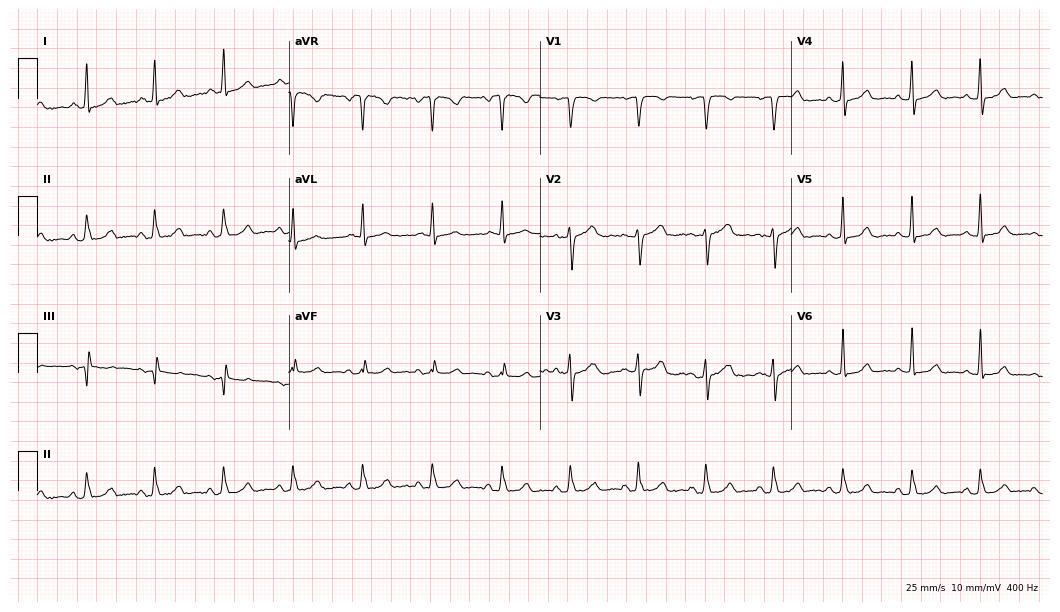
Standard 12-lead ECG recorded from a female, 35 years old. Read as a normal ECG.